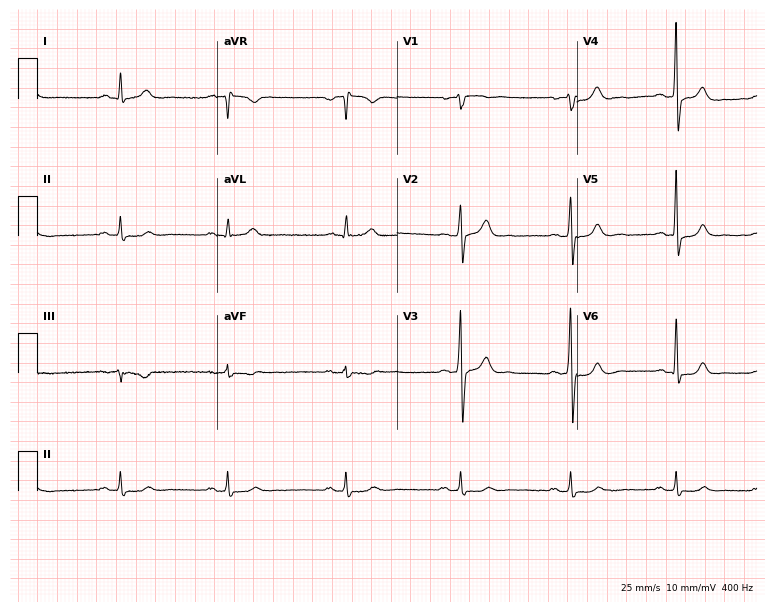
ECG (7.3-second recording at 400 Hz) — a 49-year-old man. Labelled as a normal ECG.